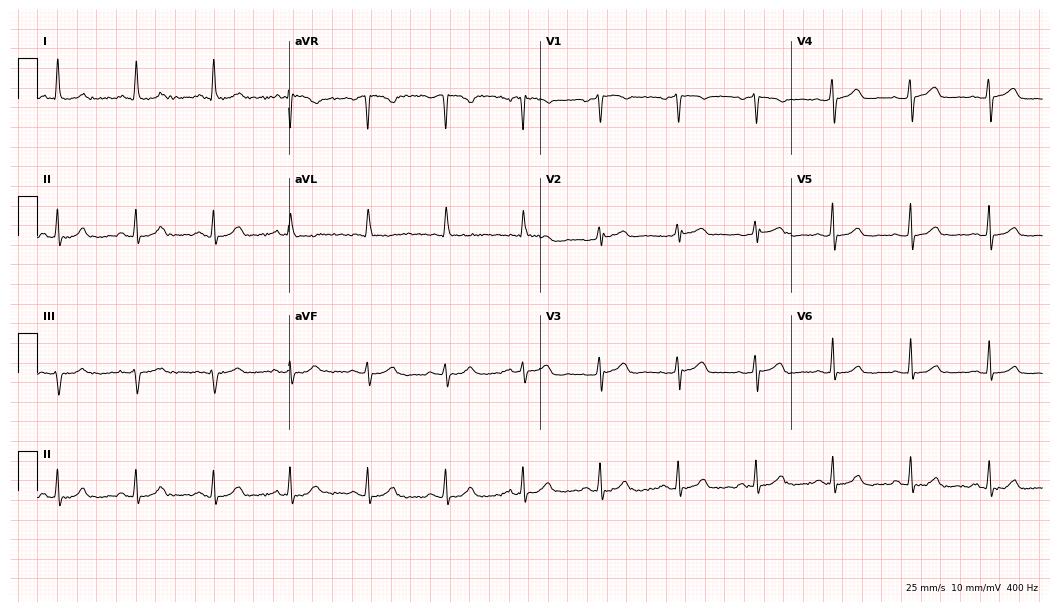
ECG — a 77-year-old woman. Labelled as a normal ECG.